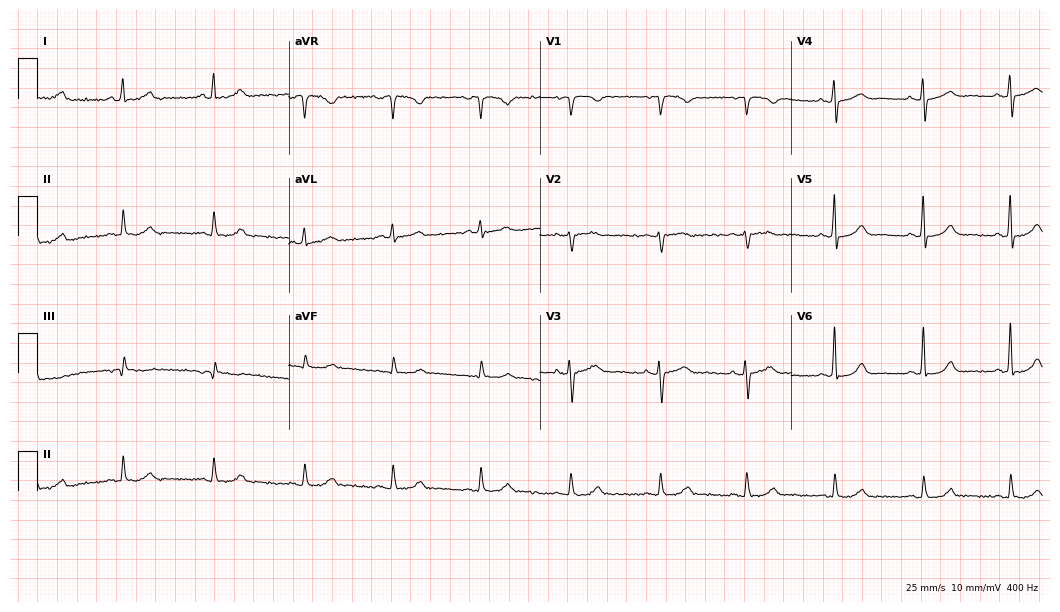
12-lead ECG from a woman, 69 years old. No first-degree AV block, right bundle branch block (RBBB), left bundle branch block (LBBB), sinus bradycardia, atrial fibrillation (AF) or sinus tachycardia recorded for this tracing. Findings outside these six are not listed.